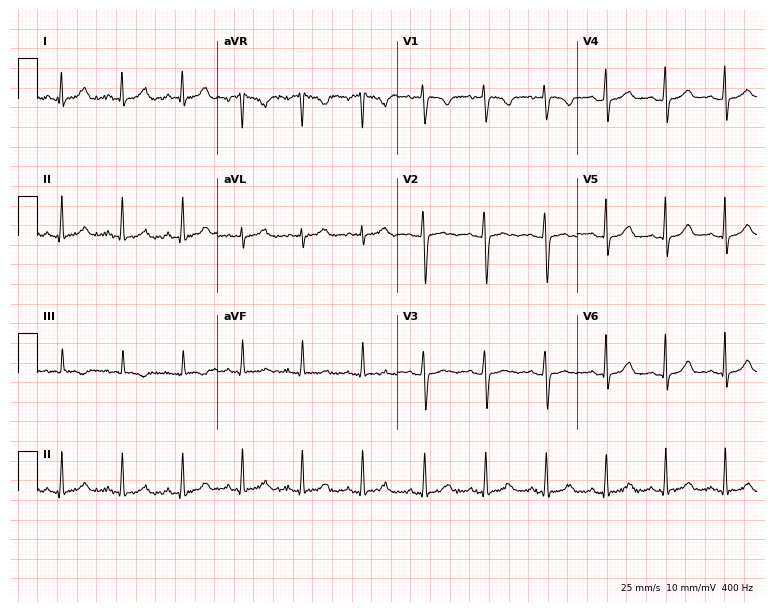
Standard 12-lead ECG recorded from a 35-year-old female. None of these six findings is recorded: first-degree AV block, right bundle branch block, left bundle branch block, sinus bradycardia, atrial fibrillation, sinus tachycardia. Findings outside these six are not listed.